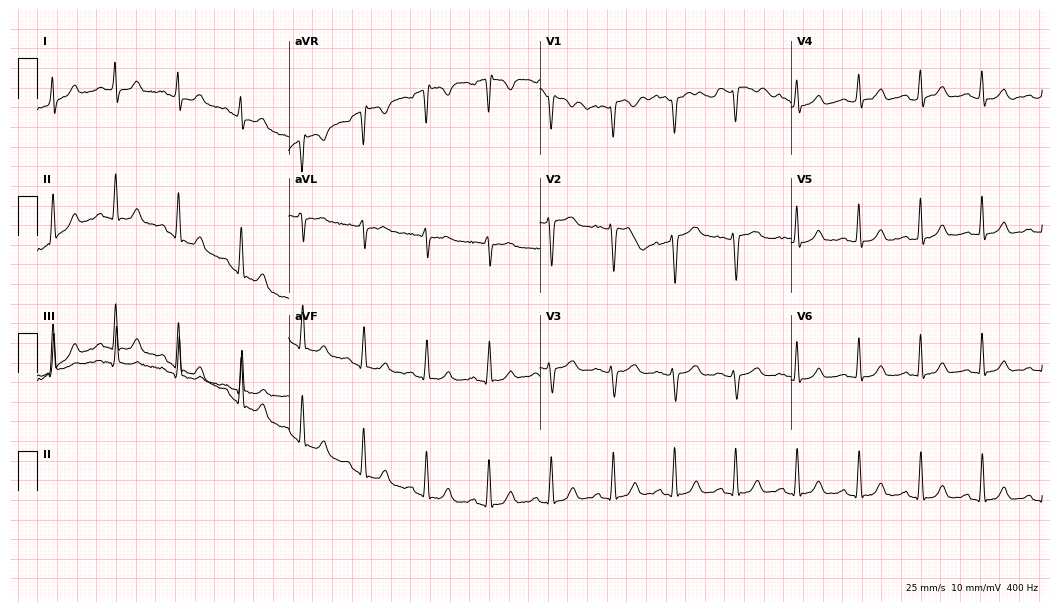
12-lead ECG (10.2-second recording at 400 Hz) from a female, 29 years old. Labelled as a normal ECG.